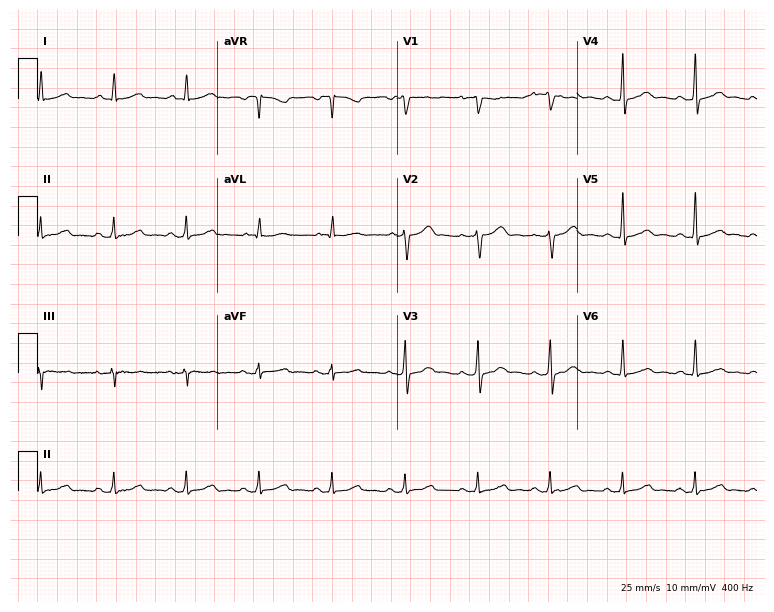
Resting 12-lead electrocardiogram (7.3-second recording at 400 Hz). Patient: a 51-year-old man. Read as a normal ECG.